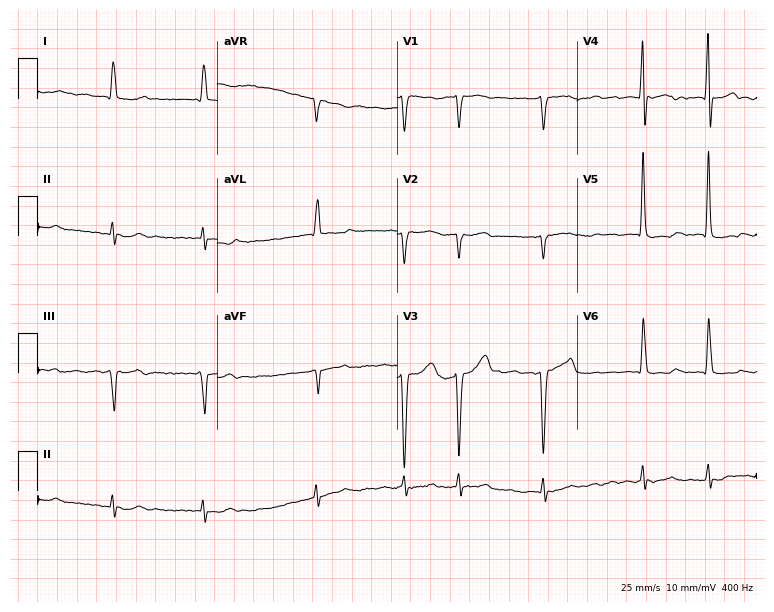
ECG (7.3-second recording at 400 Hz) — a male, 75 years old. Findings include atrial fibrillation (AF).